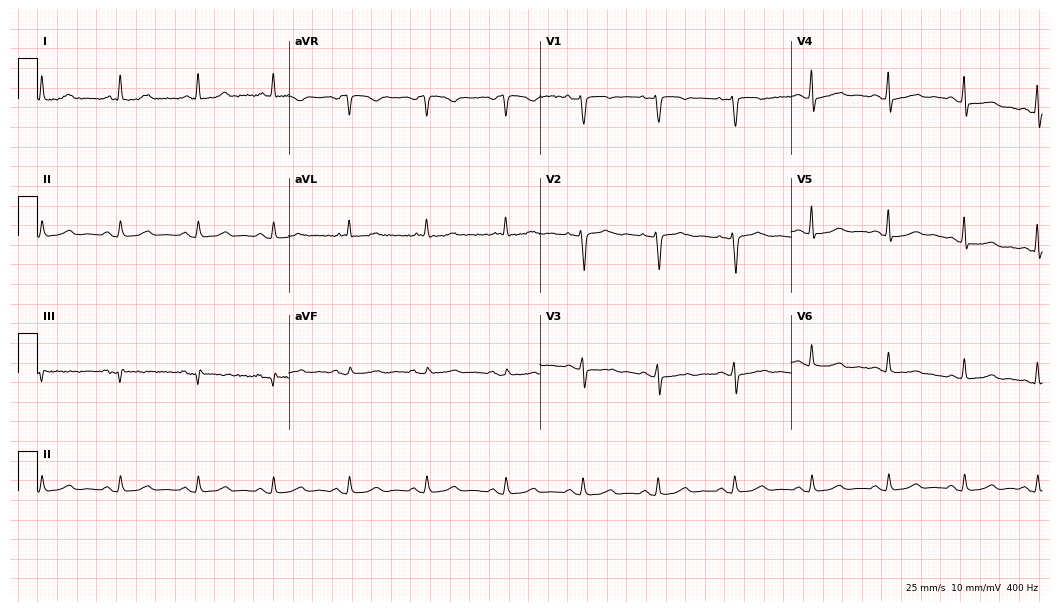
Resting 12-lead electrocardiogram. Patient: a 62-year-old woman. Read as a normal ECG.